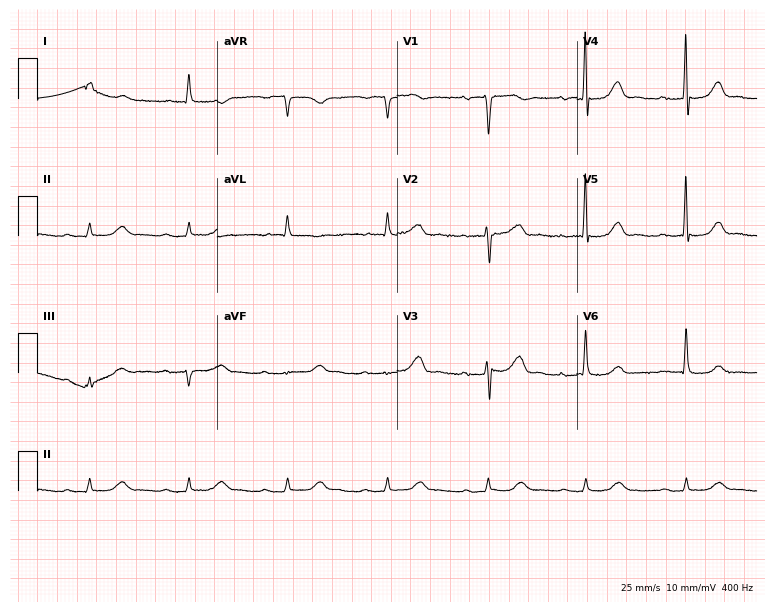
Electrocardiogram (7.3-second recording at 400 Hz), a female patient, 84 years old. Interpretation includes first-degree AV block.